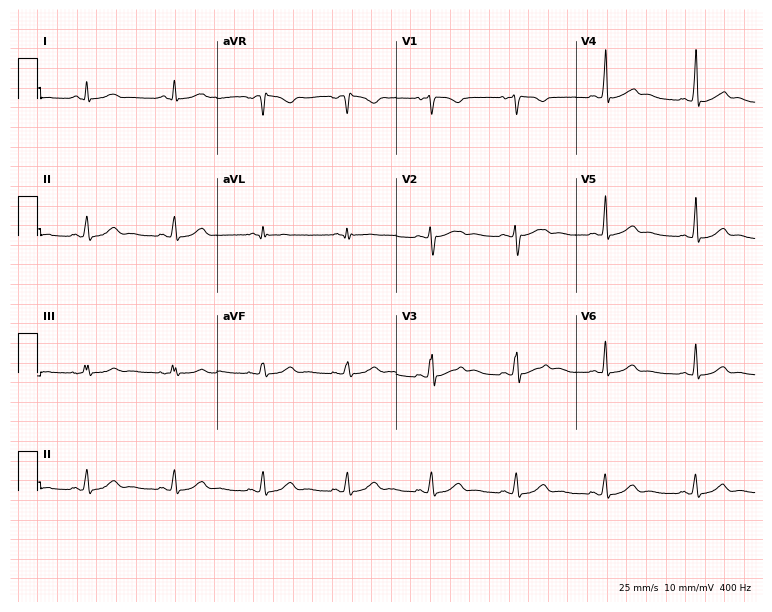
Resting 12-lead electrocardiogram (7.3-second recording at 400 Hz). Patient: a woman, 19 years old. None of these six findings is recorded: first-degree AV block, right bundle branch block (RBBB), left bundle branch block (LBBB), sinus bradycardia, atrial fibrillation (AF), sinus tachycardia.